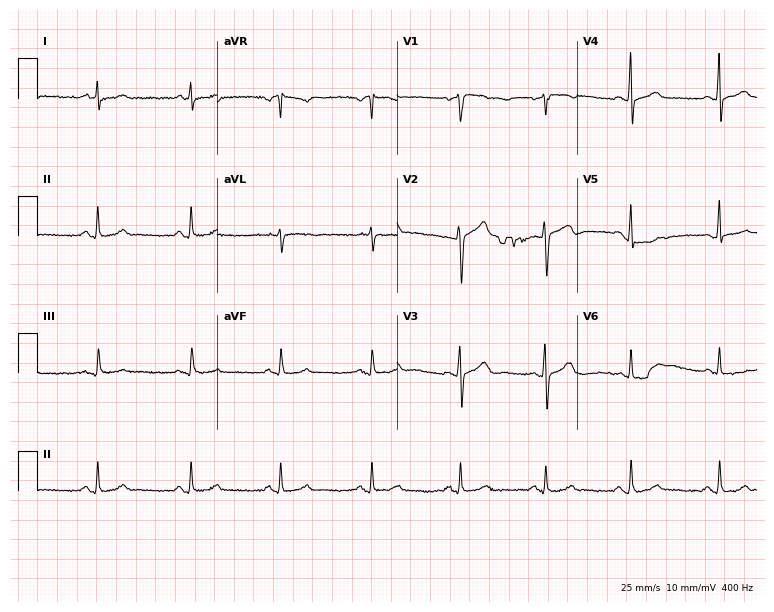
12-lead ECG from a 43-year-old man. Recorded interpretation: within normal limits.